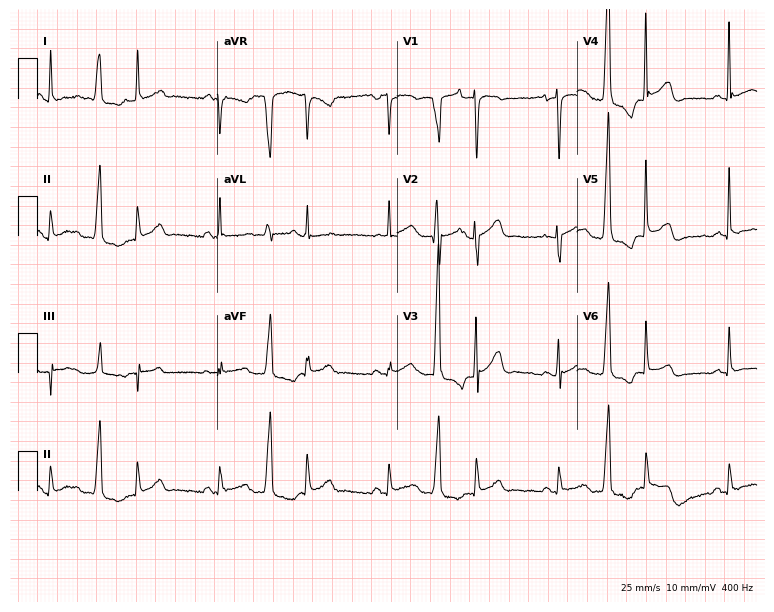
ECG (7.3-second recording at 400 Hz) — a 73-year-old female. Screened for six findings — first-degree AV block, right bundle branch block, left bundle branch block, sinus bradycardia, atrial fibrillation, sinus tachycardia — none is recorded. Findings outside these six are not listed.